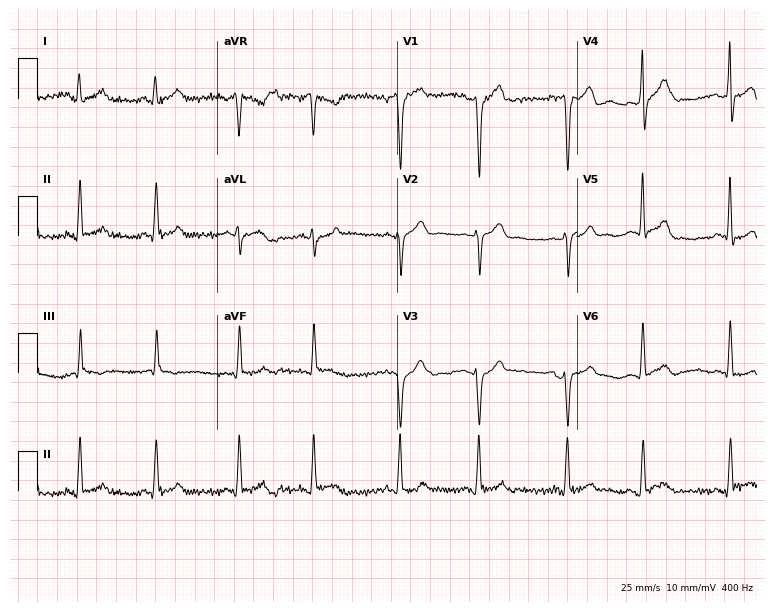
ECG (7.3-second recording at 400 Hz) — a man, 21 years old. Screened for six findings — first-degree AV block, right bundle branch block (RBBB), left bundle branch block (LBBB), sinus bradycardia, atrial fibrillation (AF), sinus tachycardia — none is recorded. Only these six findings were labelled.